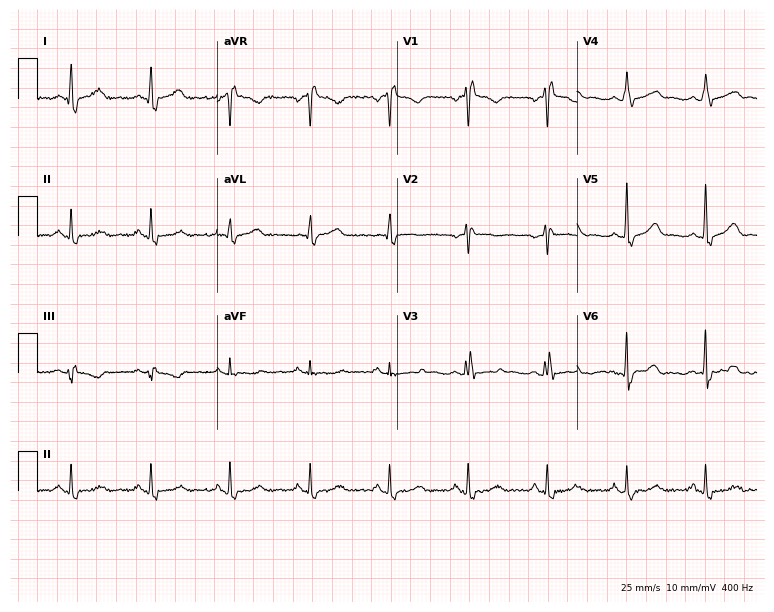
Resting 12-lead electrocardiogram. Patient: a 45-year-old female. The tracing shows right bundle branch block (RBBB).